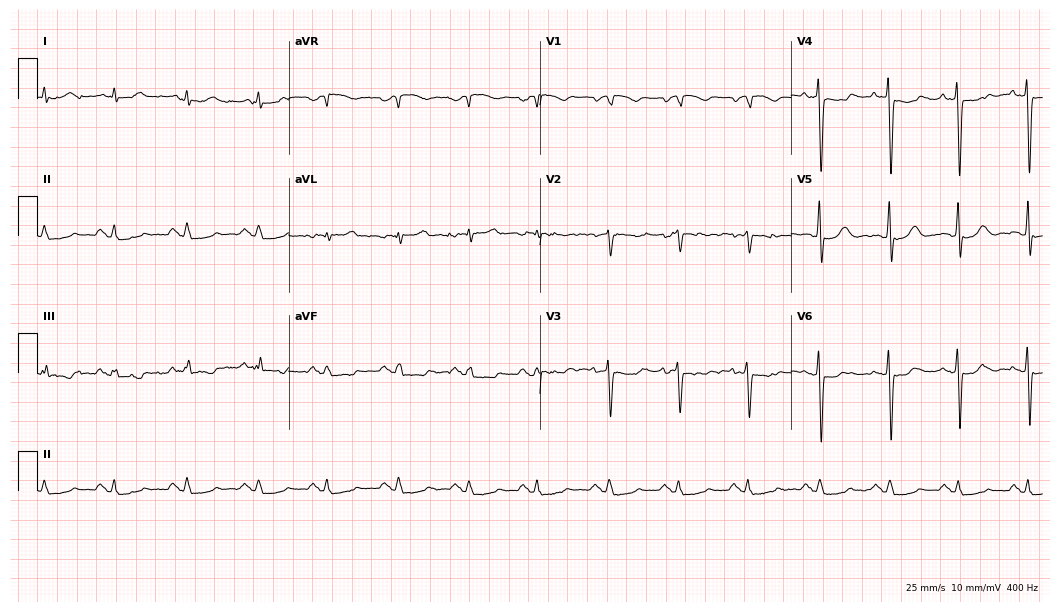
Standard 12-lead ECG recorded from a 76-year-old man. None of these six findings is recorded: first-degree AV block, right bundle branch block (RBBB), left bundle branch block (LBBB), sinus bradycardia, atrial fibrillation (AF), sinus tachycardia.